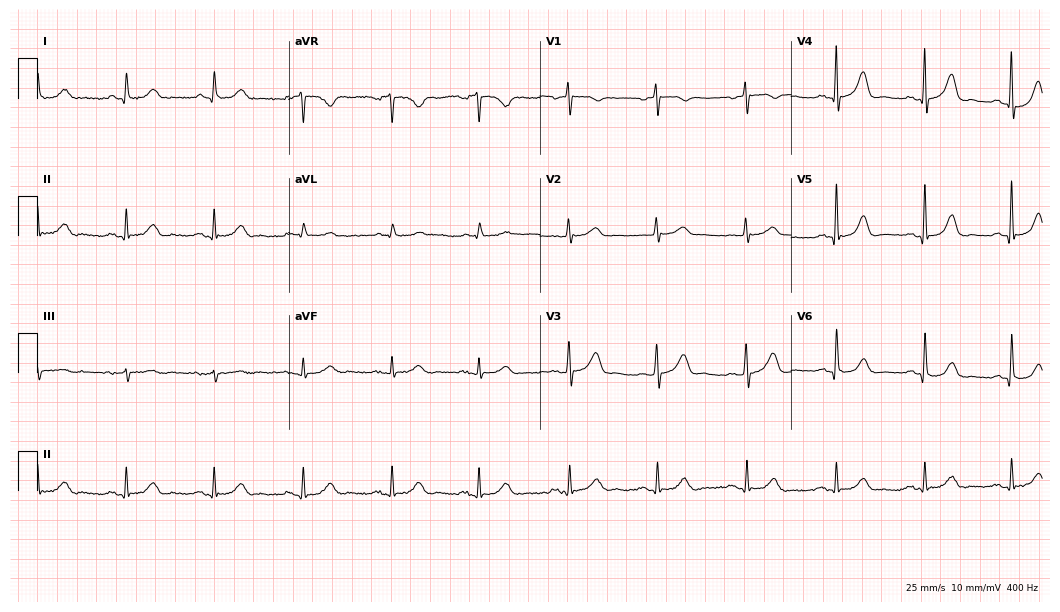
Standard 12-lead ECG recorded from a female, 75 years old (10.2-second recording at 400 Hz). Read as a normal ECG.